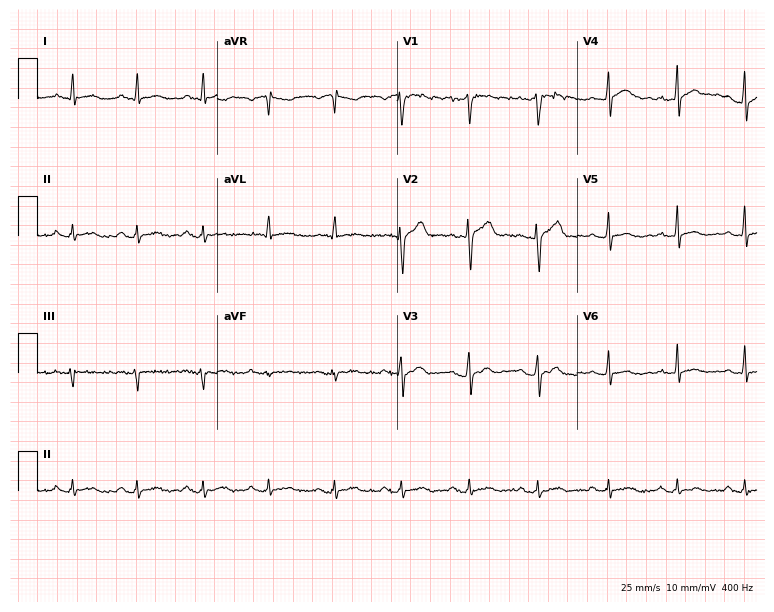
ECG — a man, 40 years old. Screened for six findings — first-degree AV block, right bundle branch block, left bundle branch block, sinus bradycardia, atrial fibrillation, sinus tachycardia — none is recorded. Only these six findings were labelled.